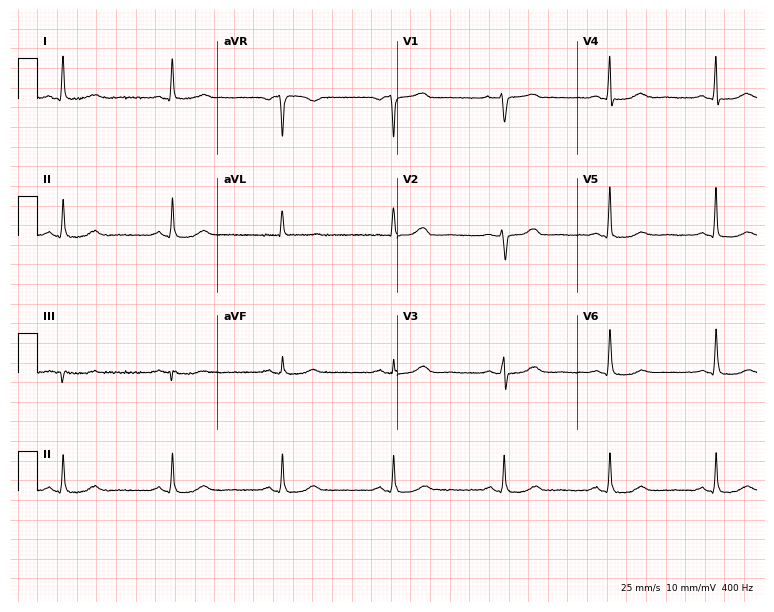
Resting 12-lead electrocardiogram. Patient: a female, 61 years old. The tracing shows sinus bradycardia (a sinus rate of 50 beats per minute or less).